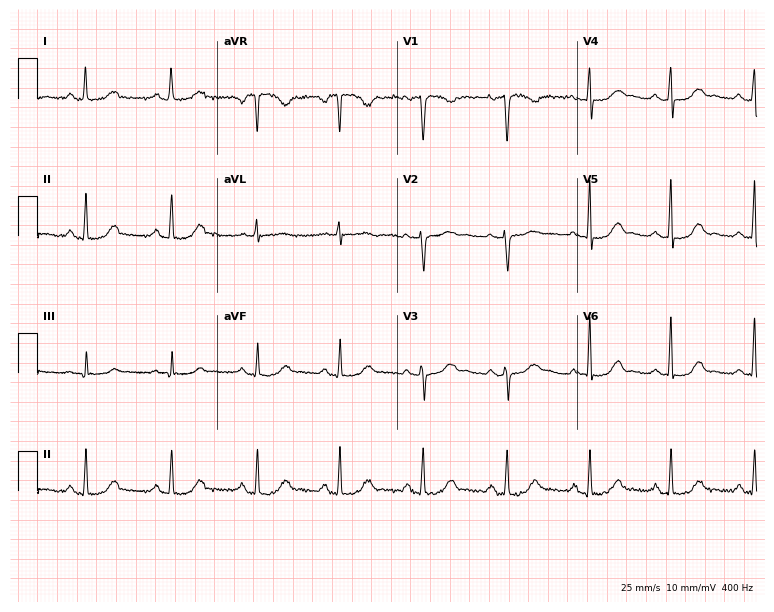
Resting 12-lead electrocardiogram (7.3-second recording at 400 Hz). Patient: a 50-year-old female. None of these six findings is recorded: first-degree AV block, right bundle branch block, left bundle branch block, sinus bradycardia, atrial fibrillation, sinus tachycardia. Other findings, if any, are not listed.